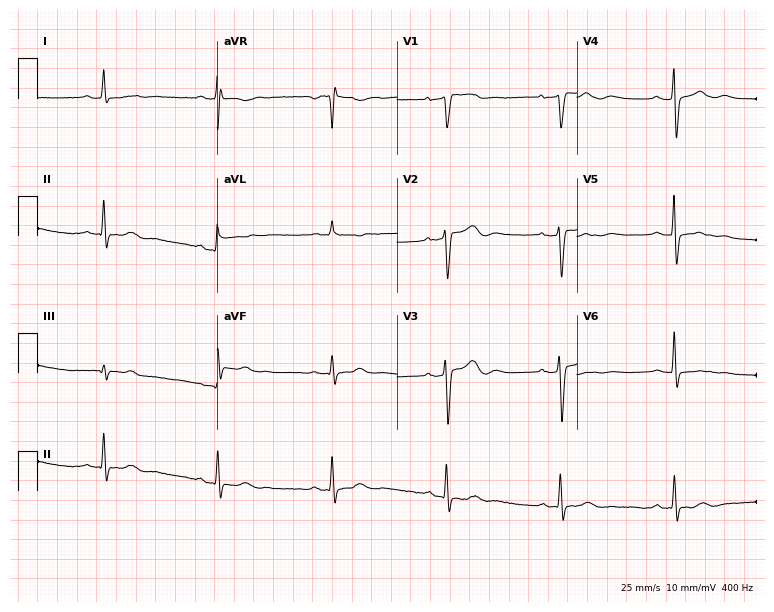
Resting 12-lead electrocardiogram. Patient: an 80-year-old female. None of these six findings is recorded: first-degree AV block, right bundle branch block, left bundle branch block, sinus bradycardia, atrial fibrillation, sinus tachycardia. Findings outside these six are not listed.